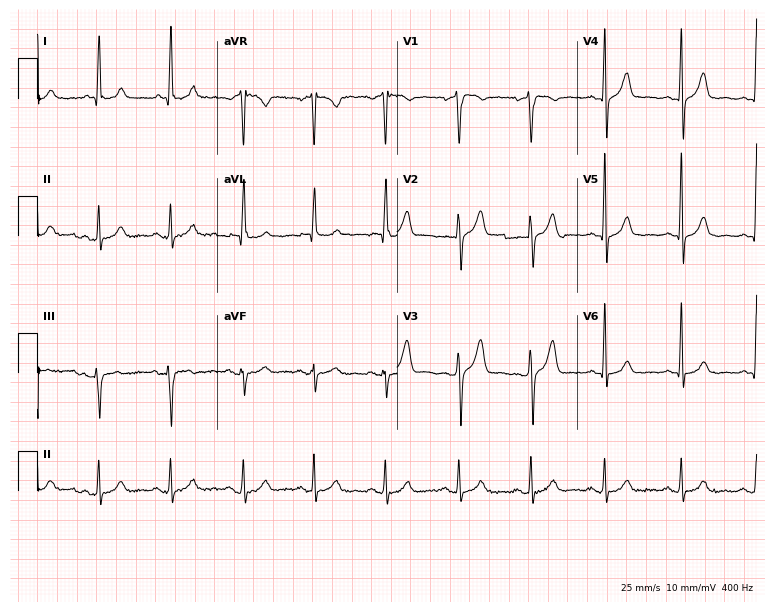
Electrocardiogram (7.3-second recording at 400 Hz), a 51-year-old male patient. Overall reading on record: normal ECG.